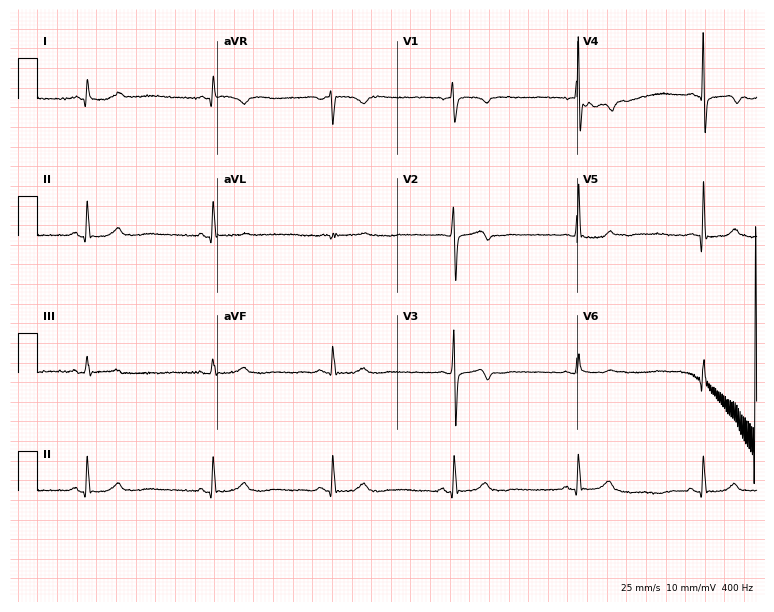
Resting 12-lead electrocardiogram. Patient: a male, 52 years old. The tracing shows sinus bradycardia (a sinus rate of 50 beats per minute or less).